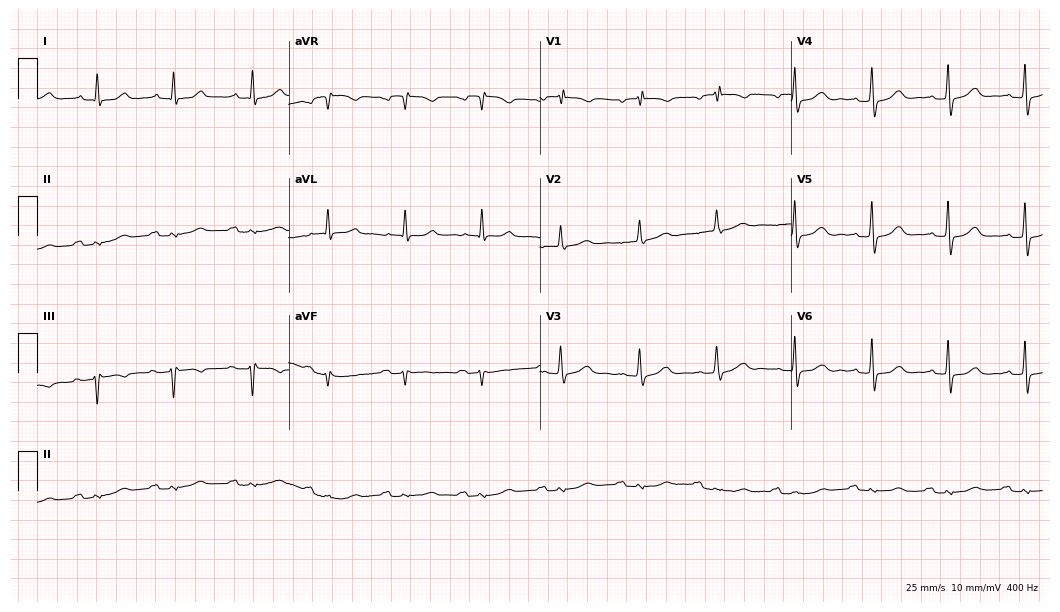
ECG — a 75-year-old female. Screened for six findings — first-degree AV block, right bundle branch block, left bundle branch block, sinus bradycardia, atrial fibrillation, sinus tachycardia — none is recorded. Only these six findings were labelled.